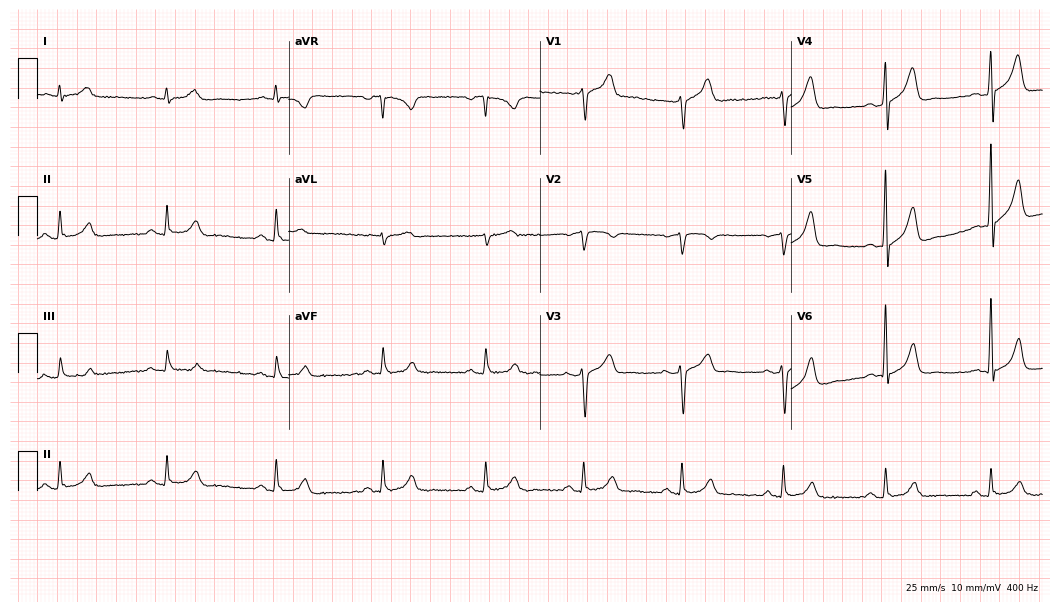
Resting 12-lead electrocardiogram (10.2-second recording at 400 Hz). Patient: a 56-year-old man. Read as a normal ECG.